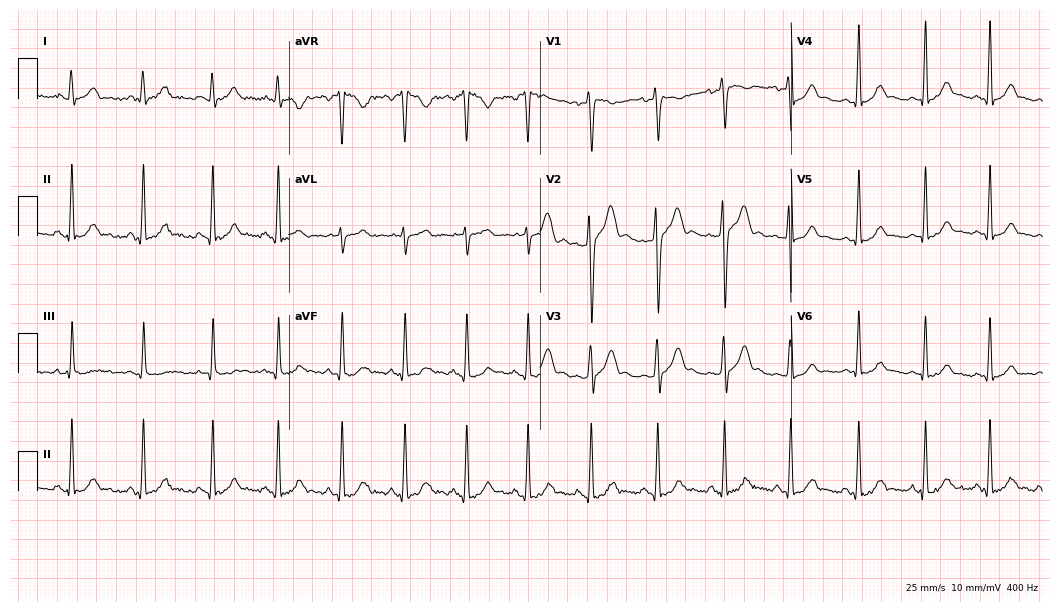
ECG — a male, 29 years old. Labelled as a normal ECG.